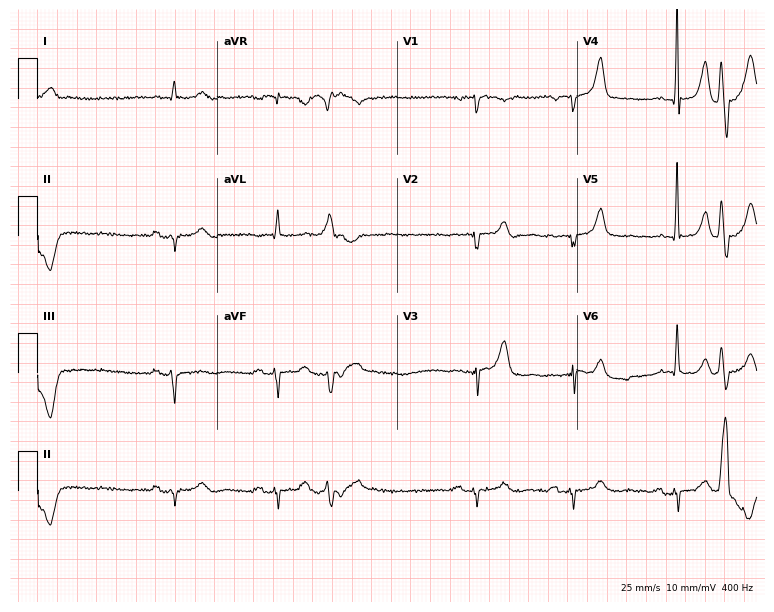
Standard 12-lead ECG recorded from a male, 73 years old (7.3-second recording at 400 Hz). None of these six findings is recorded: first-degree AV block, right bundle branch block, left bundle branch block, sinus bradycardia, atrial fibrillation, sinus tachycardia.